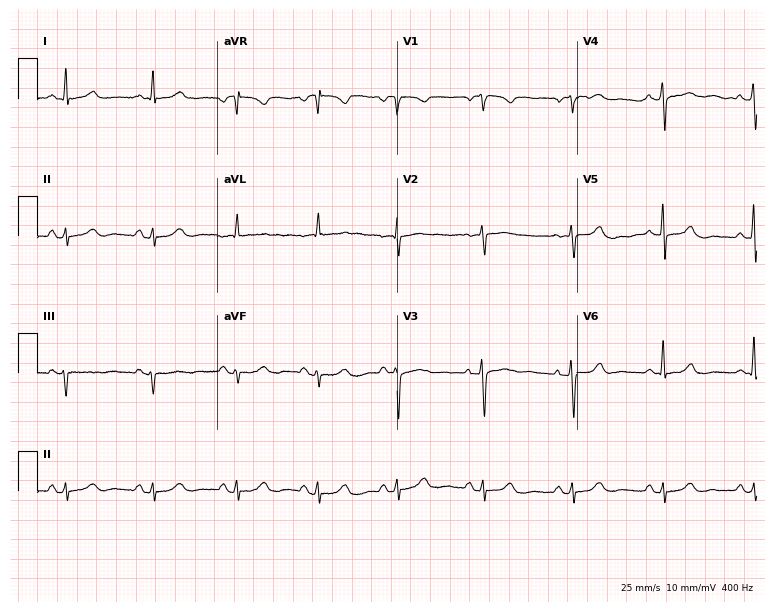
Resting 12-lead electrocardiogram (7.3-second recording at 400 Hz). Patient: a female, 63 years old. Read as a normal ECG.